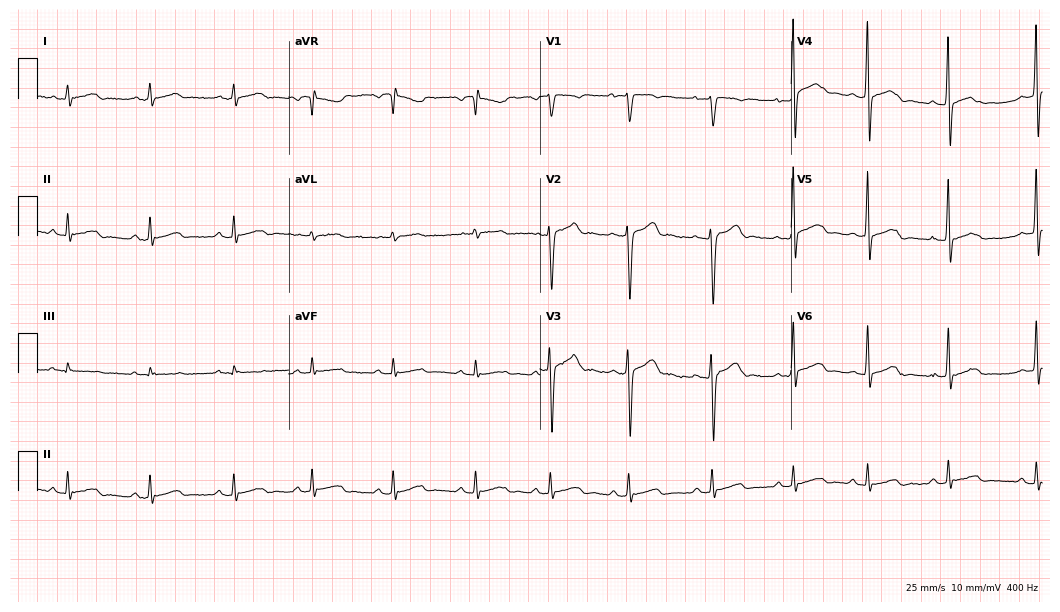
Resting 12-lead electrocardiogram (10.2-second recording at 400 Hz). Patient: a 17-year-old male. Read as a normal ECG.